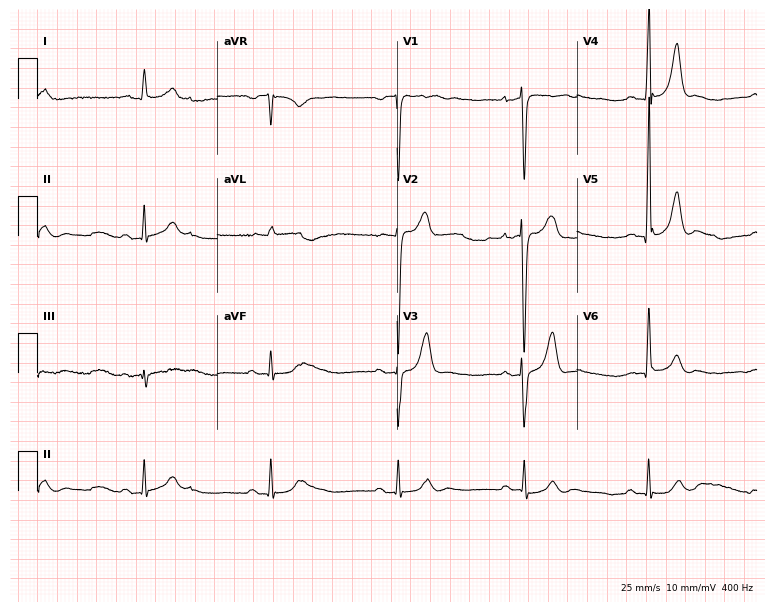
12-lead ECG (7.3-second recording at 400 Hz) from a man, 73 years old. Findings include sinus bradycardia (a sinus rate of 50 beats per minute or less).